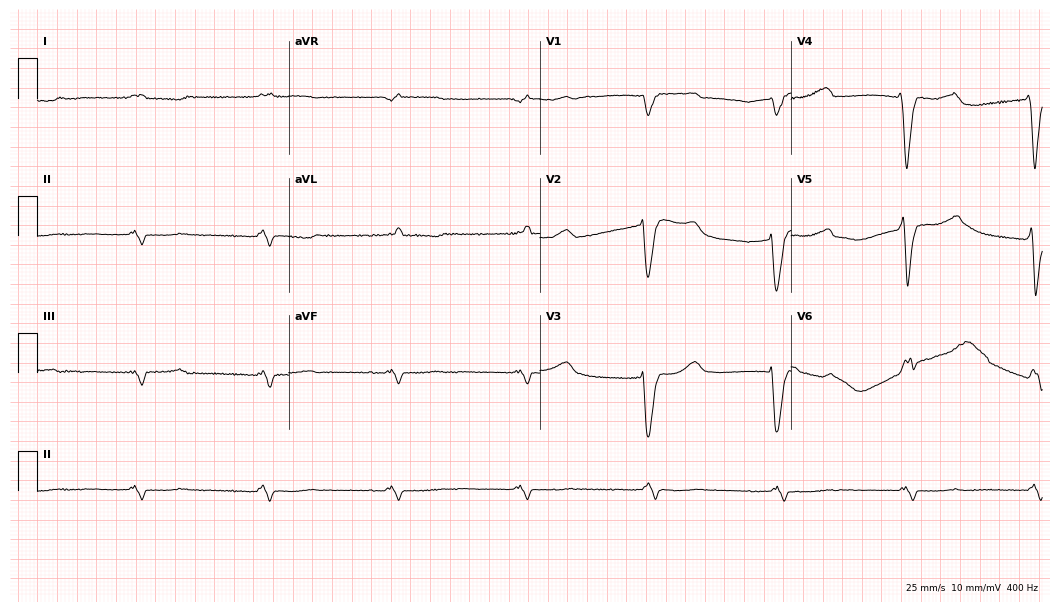
12-lead ECG from a male, 83 years old. Screened for six findings — first-degree AV block, right bundle branch block (RBBB), left bundle branch block (LBBB), sinus bradycardia, atrial fibrillation (AF), sinus tachycardia — none is recorded.